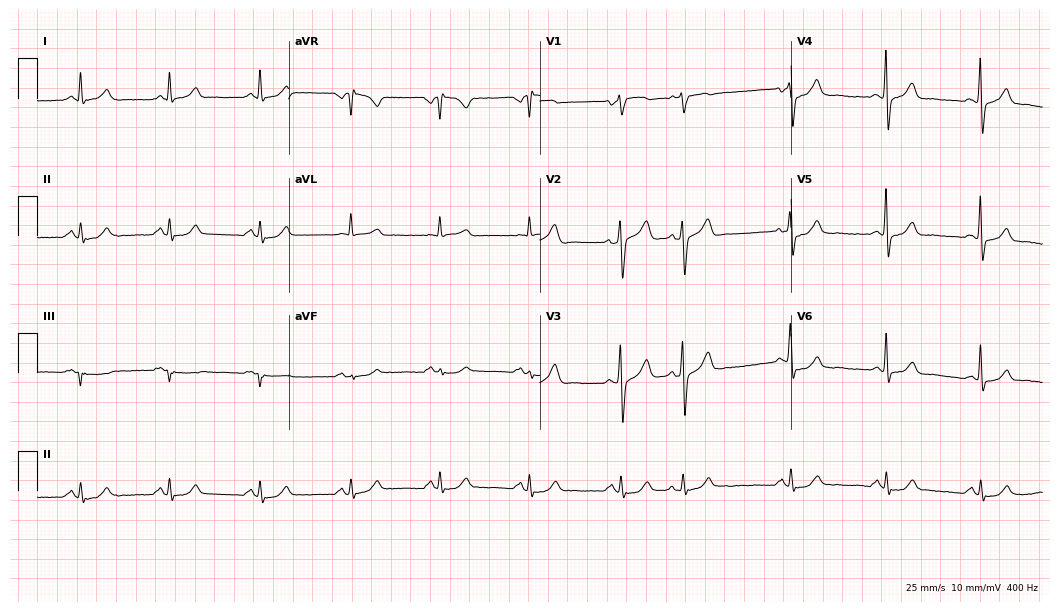
Electrocardiogram, a man, 68 years old. Of the six screened findings (first-degree AV block, right bundle branch block (RBBB), left bundle branch block (LBBB), sinus bradycardia, atrial fibrillation (AF), sinus tachycardia), none is recorded. Other findings, if any, are not listed.